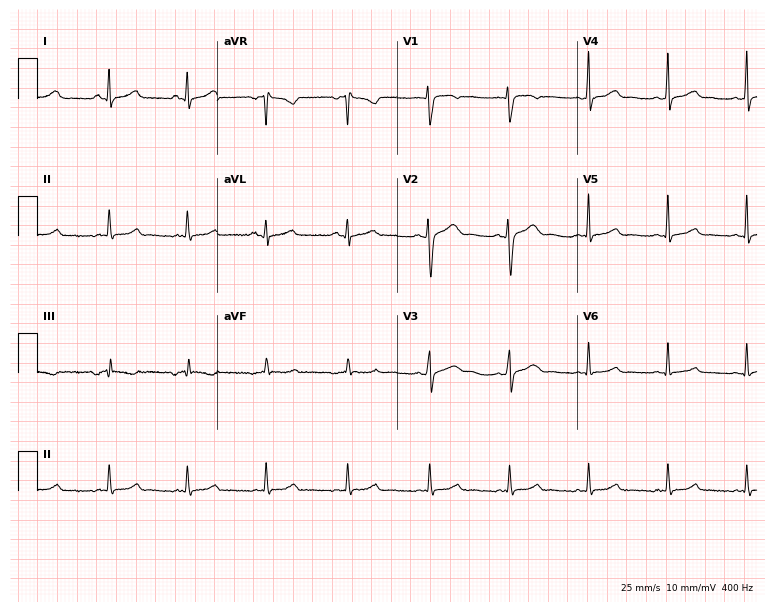
Standard 12-lead ECG recorded from a 27-year-old woman (7.3-second recording at 400 Hz). None of these six findings is recorded: first-degree AV block, right bundle branch block (RBBB), left bundle branch block (LBBB), sinus bradycardia, atrial fibrillation (AF), sinus tachycardia. Findings outside these six are not listed.